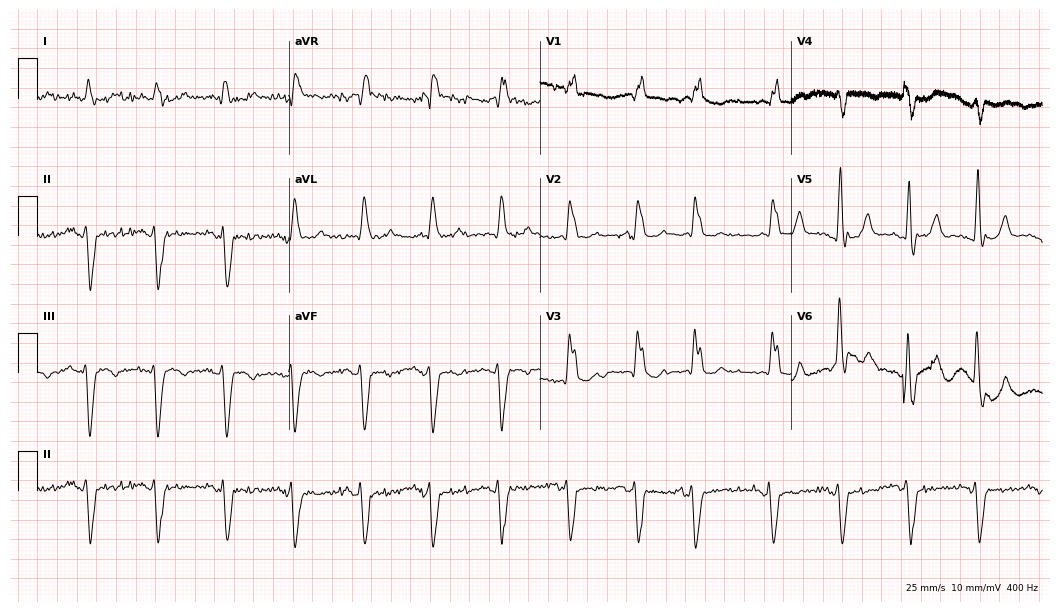
Electrocardiogram, an 87-year-old male. Interpretation includes right bundle branch block.